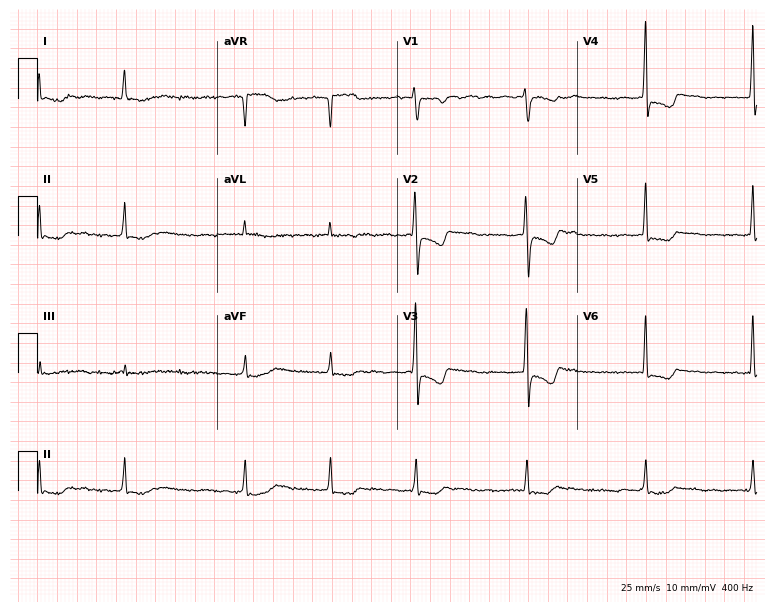
Resting 12-lead electrocardiogram. Patient: a 39-year-old female. The tracing shows atrial fibrillation.